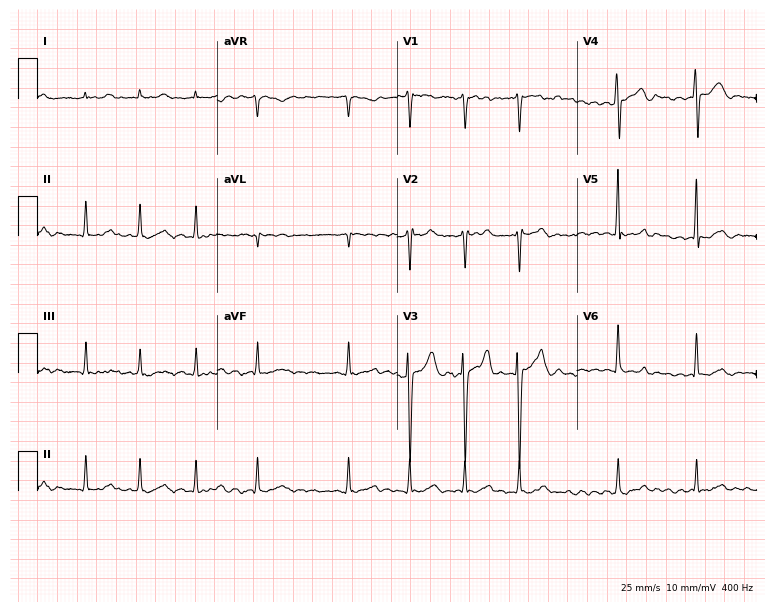
12-lead ECG from a 57-year-old male patient (7.3-second recording at 400 Hz). Shows atrial fibrillation (AF).